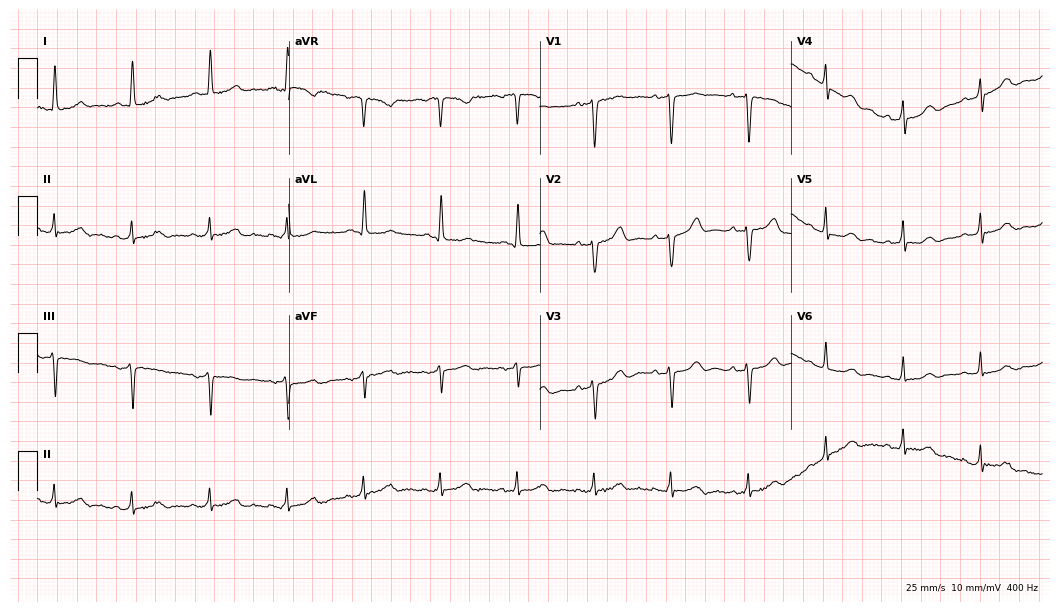
Electrocardiogram, a 69-year-old woman. Of the six screened findings (first-degree AV block, right bundle branch block, left bundle branch block, sinus bradycardia, atrial fibrillation, sinus tachycardia), none is recorded.